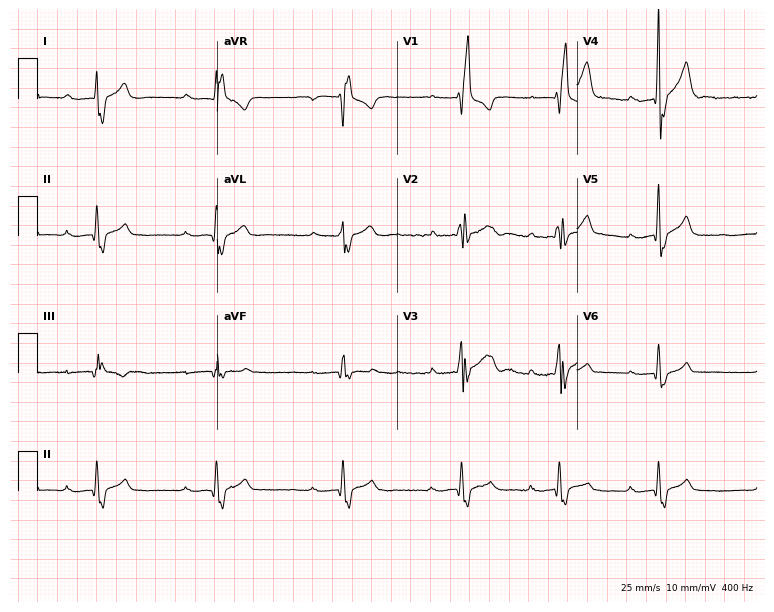
Electrocardiogram (7.3-second recording at 400 Hz), a male patient, 25 years old. Interpretation includes first-degree AV block, right bundle branch block.